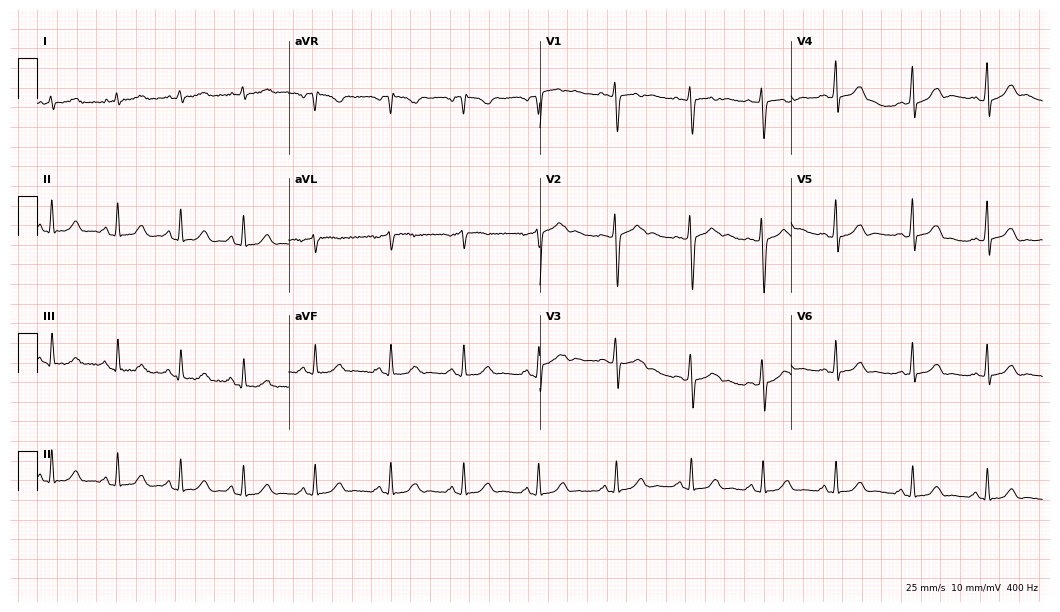
Electrocardiogram (10.2-second recording at 400 Hz), a female, 33 years old. Overall reading on record: normal ECG.